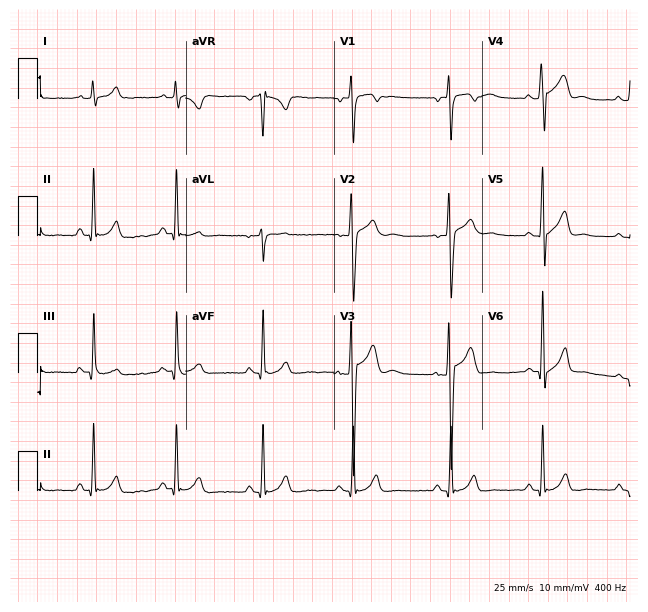
12-lead ECG from a male patient, 20 years old. Recorded interpretation: within normal limits.